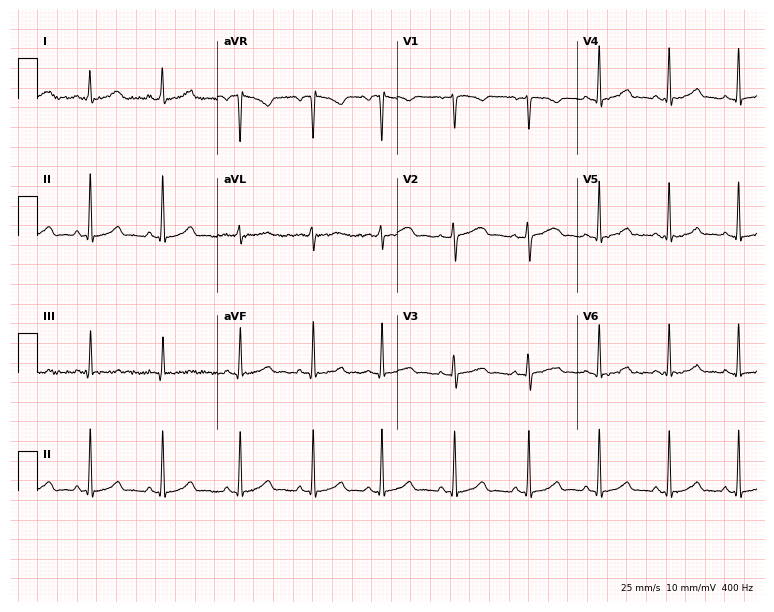
12-lead ECG (7.3-second recording at 400 Hz) from a male, 29 years old. Labelled as a normal ECG.